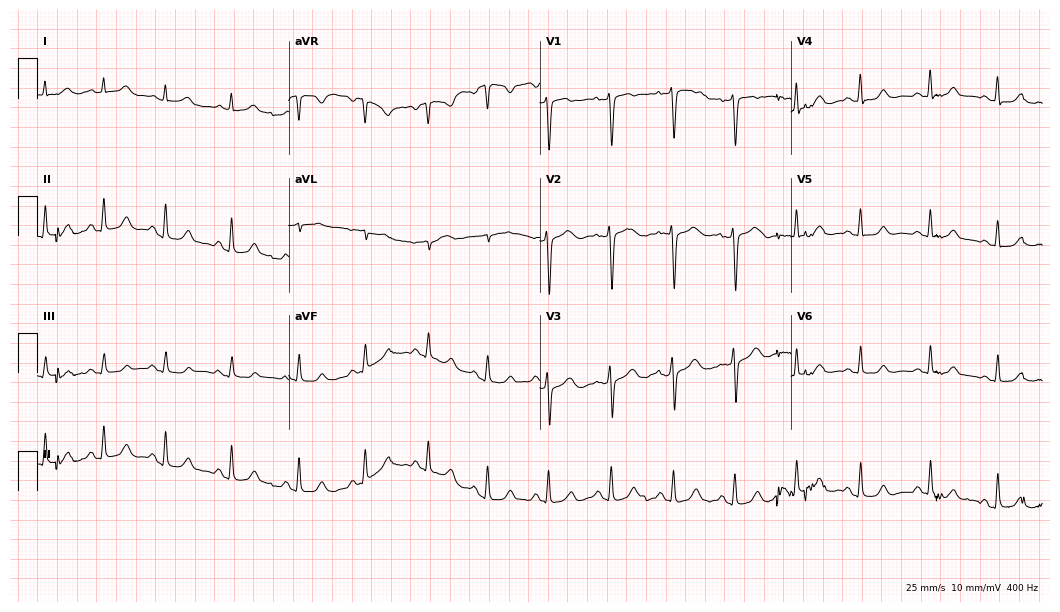
Resting 12-lead electrocardiogram. Patient: a woman, 45 years old. Read as a normal ECG.